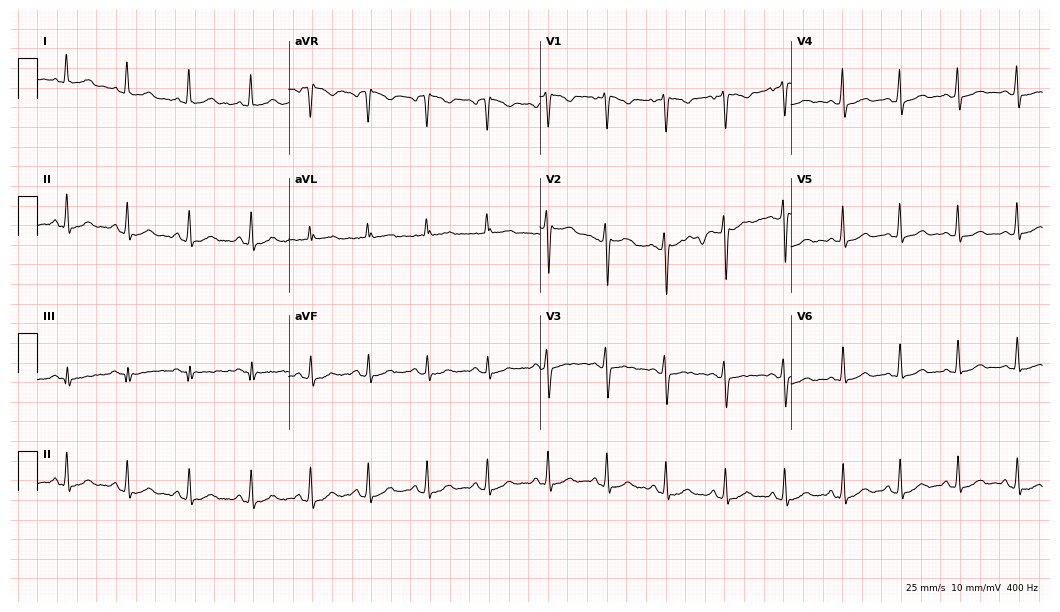
Resting 12-lead electrocardiogram. Patient: a female, 19 years old. None of these six findings is recorded: first-degree AV block, right bundle branch block, left bundle branch block, sinus bradycardia, atrial fibrillation, sinus tachycardia. Other findings, if any, are not listed.